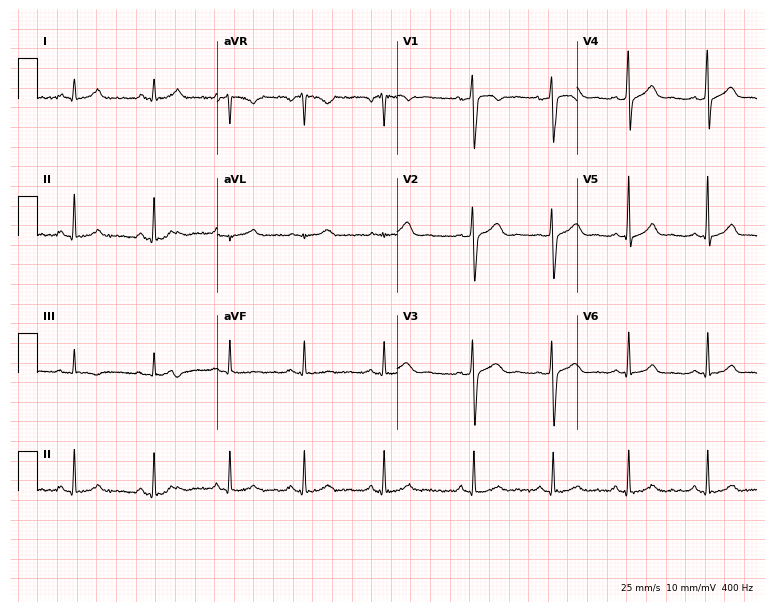
Standard 12-lead ECG recorded from a female, 30 years old. Read as a normal ECG.